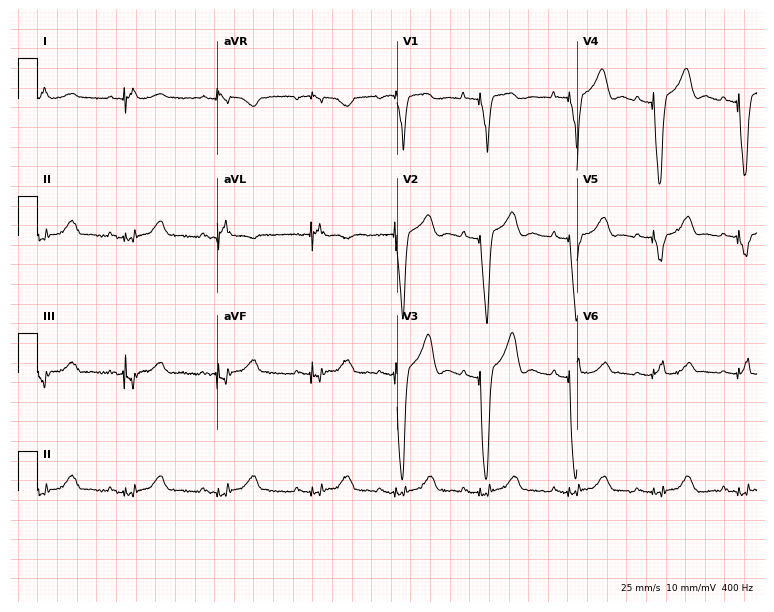
Standard 12-lead ECG recorded from a female patient, 21 years old. None of these six findings is recorded: first-degree AV block, right bundle branch block, left bundle branch block, sinus bradycardia, atrial fibrillation, sinus tachycardia. Only these six findings were labelled.